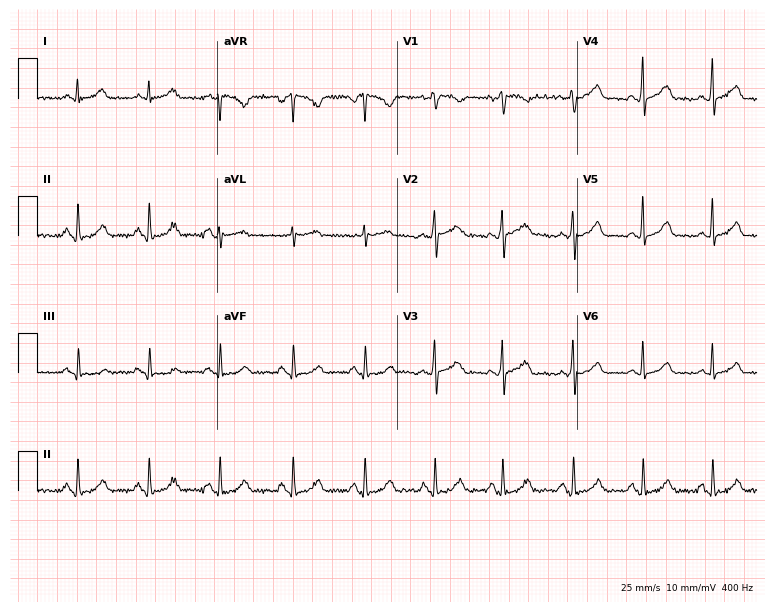
Electrocardiogram, a 42-year-old female patient. Of the six screened findings (first-degree AV block, right bundle branch block, left bundle branch block, sinus bradycardia, atrial fibrillation, sinus tachycardia), none is recorded. Findings outside these six are not listed.